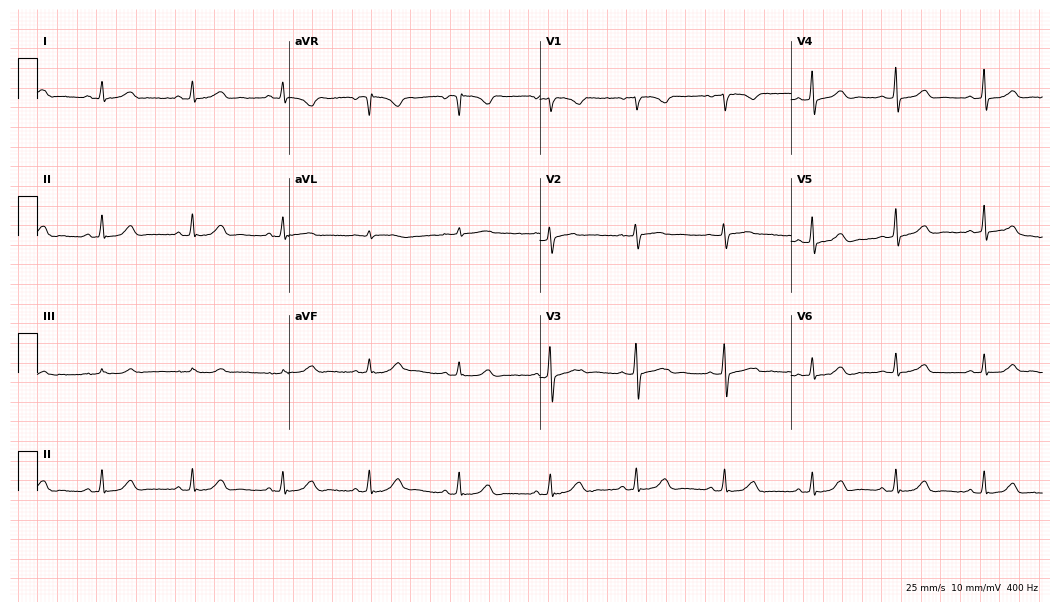
12-lead ECG from a 38-year-old female. Labelled as a normal ECG.